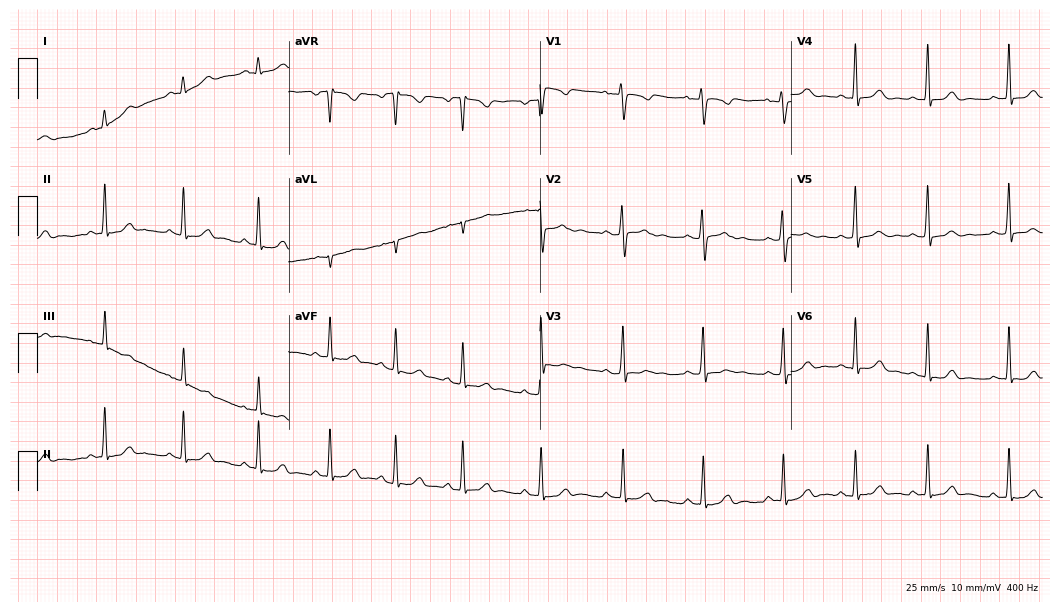
12-lead ECG from a female patient, 23 years old. Labelled as a normal ECG.